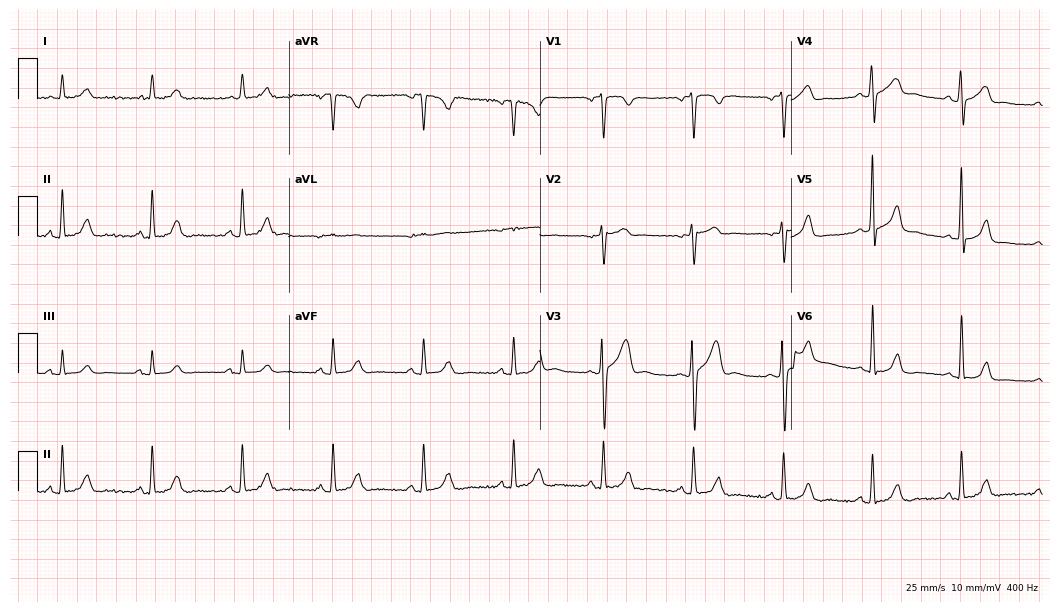
12-lead ECG (10.2-second recording at 400 Hz) from a man, 47 years old. Screened for six findings — first-degree AV block, right bundle branch block, left bundle branch block, sinus bradycardia, atrial fibrillation, sinus tachycardia — none is recorded. Only these six findings were labelled.